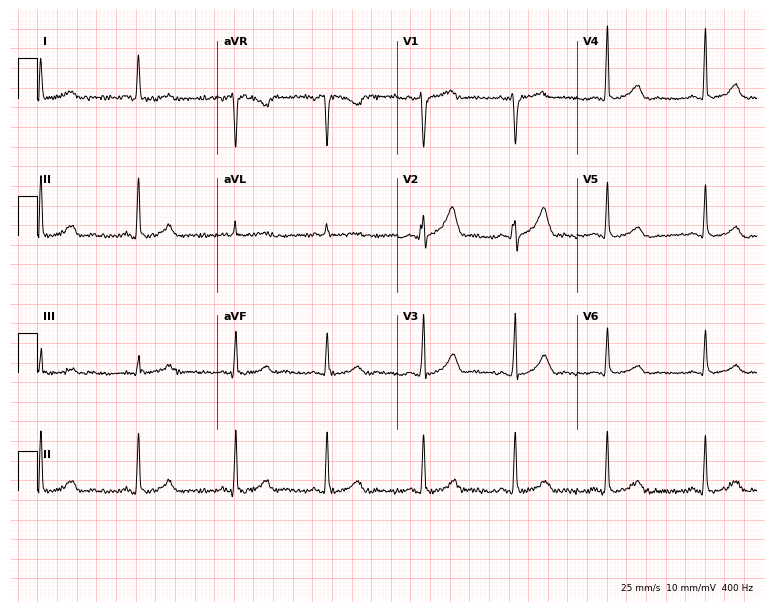
ECG (7.3-second recording at 400 Hz) — a 52-year-old woman. Screened for six findings — first-degree AV block, right bundle branch block, left bundle branch block, sinus bradycardia, atrial fibrillation, sinus tachycardia — none is recorded.